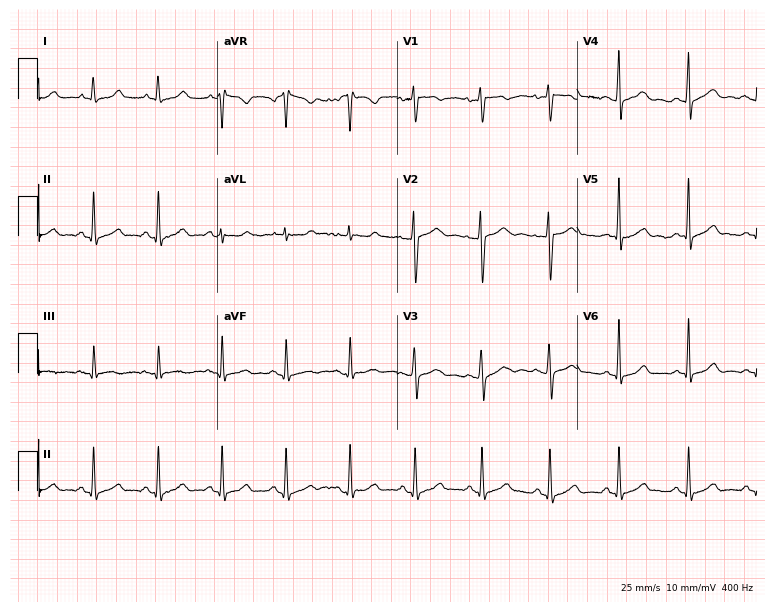
Electrocardiogram (7.3-second recording at 400 Hz), a woman, 36 years old. Overall reading on record: normal ECG.